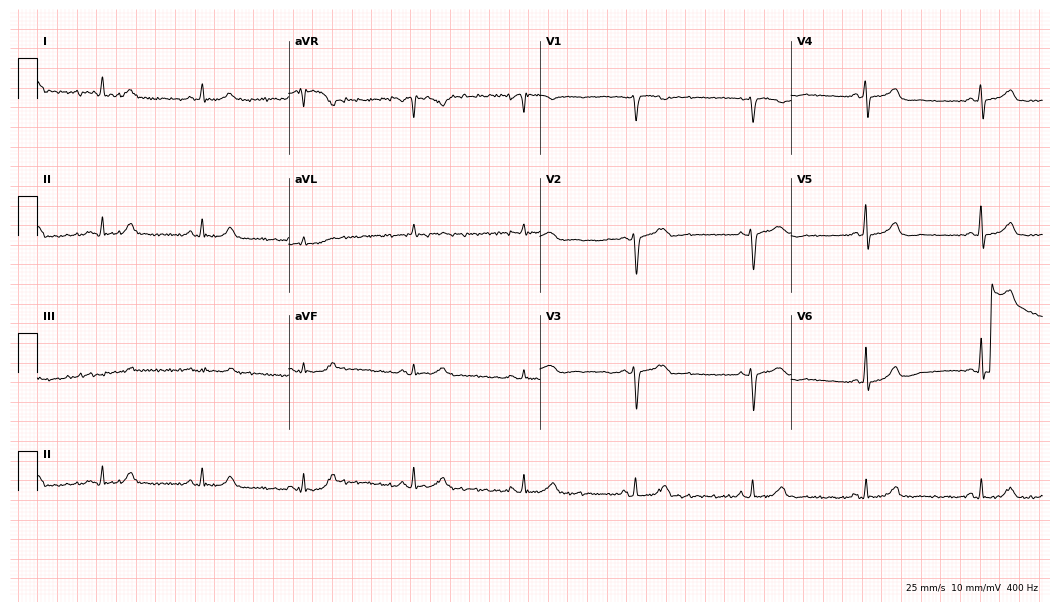
12-lead ECG from a female patient, 54 years old. Recorded interpretation: within normal limits.